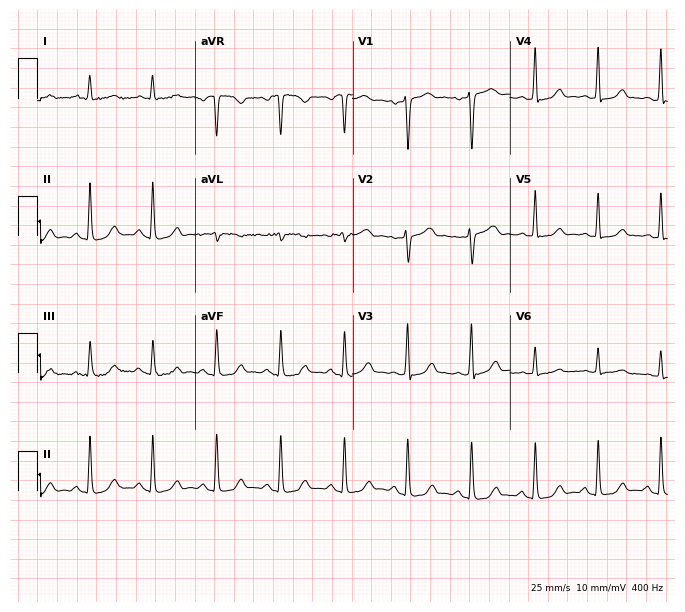
12-lead ECG from a 47-year-old female patient (6.4-second recording at 400 Hz). No first-degree AV block, right bundle branch block (RBBB), left bundle branch block (LBBB), sinus bradycardia, atrial fibrillation (AF) or sinus tachycardia recorded for this tracing. Only these six findings were labelled.